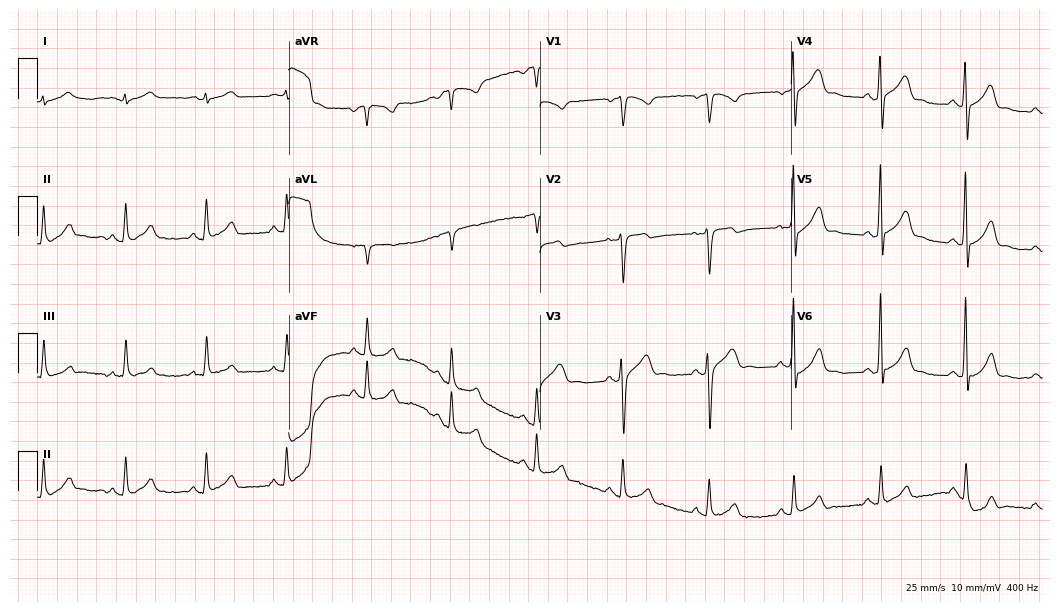
12-lead ECG from a man, 33 years old (10.2-second recording at 400 Hz). Recorded interpretation: within normal limits.